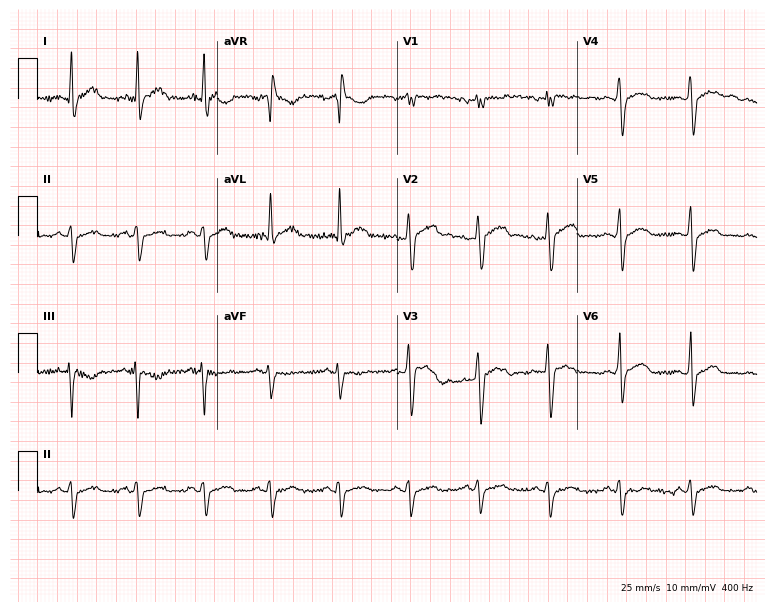
ECG (7.3-second recording at 400 Hz) — a 38-year-old male. Screened for six findings — first-degree AV block, right bundle branch block, left bundle branch block, sinus bradycardia, atrial fibrillation, sinus tachycardia — none is recorded. Other findings, if any, are not listed.